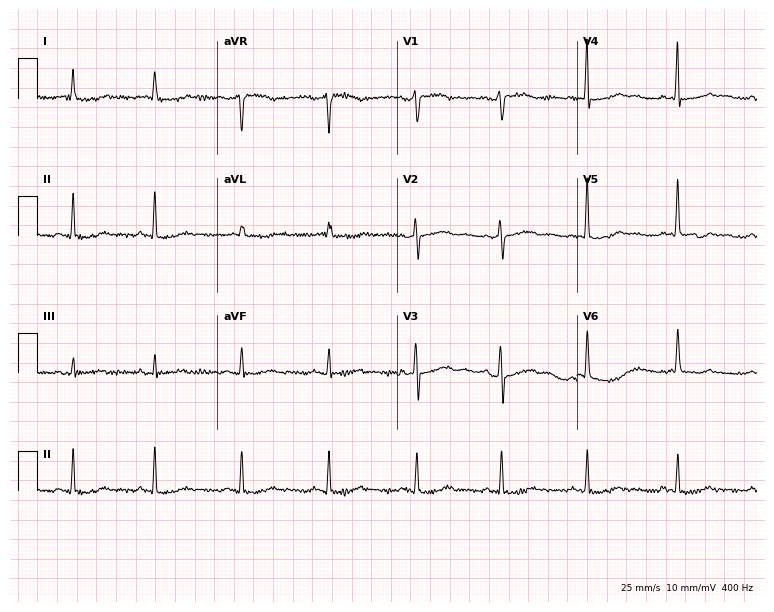
ECG — a 71-year-old female patient. Screened for six findings — first-degree AV block, right bundle branch block, left bundle branch block, sinus bradycardia, atrial fibrillation, sinus tachycardia — none is recorded. Findings outside these six are not listed.